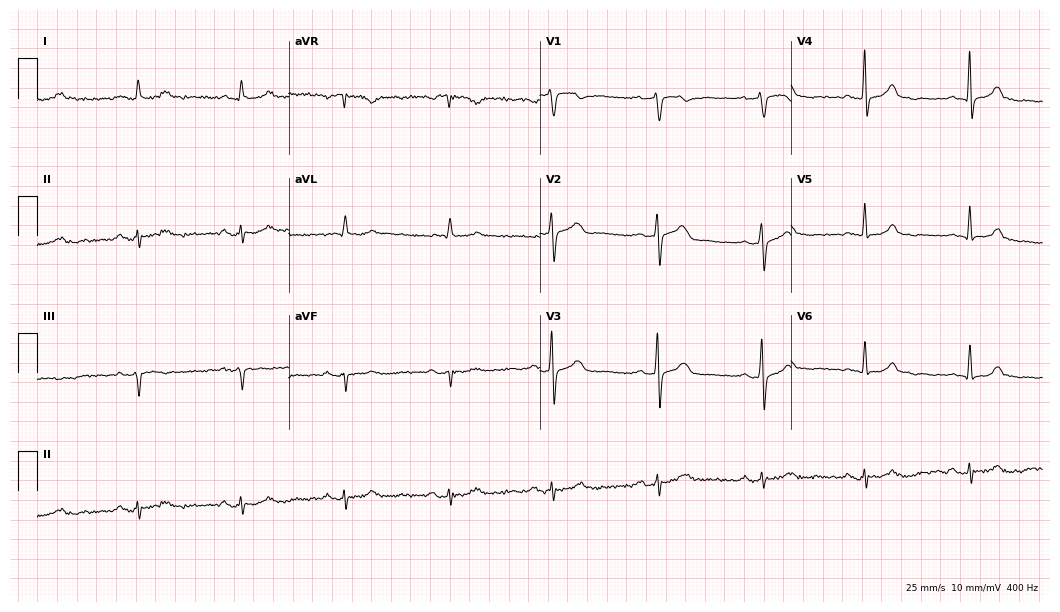
ECG — a male, 82 years old. Screened for six findings — first-degree AV block, right bundle branch block (RBBB), left bundle branch block (LBBB), sinus bradycardia, atrial fibrillation (AF), sinus tachycardia — none is recorded. Other findings, if any, are not listed.